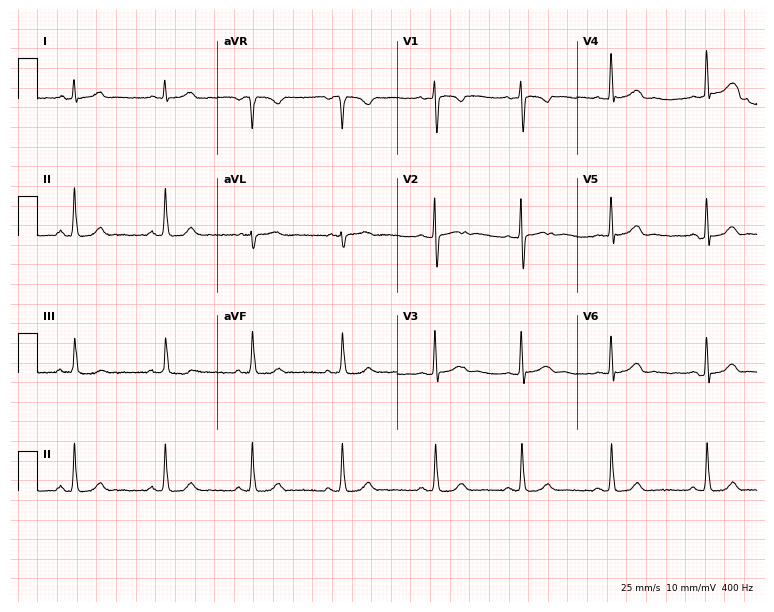
Electrocardiogram, a female patient, 22 years old. Of the six screened findings (first-degree AV block, right bundle branch block (RBBB), left bundle branch block (LBBB), sinus bradycardia, atrial fibrillation (AF), sinus tachycardia), none is recorded.